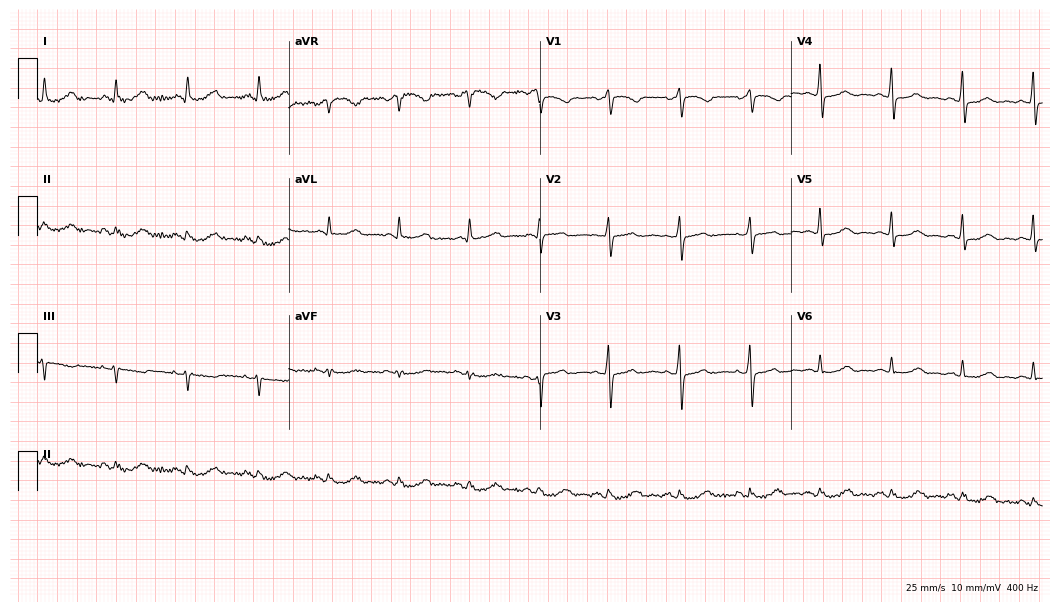
12-lead ECG from a 67-year-old female. Screened for six findings — first-degree AV block, right bundle branch block, left bundle branch block, sinus bradycardia, atrial fibrillation, sinus tachycardia — none is recorded. Other findings, if any, are not listed.